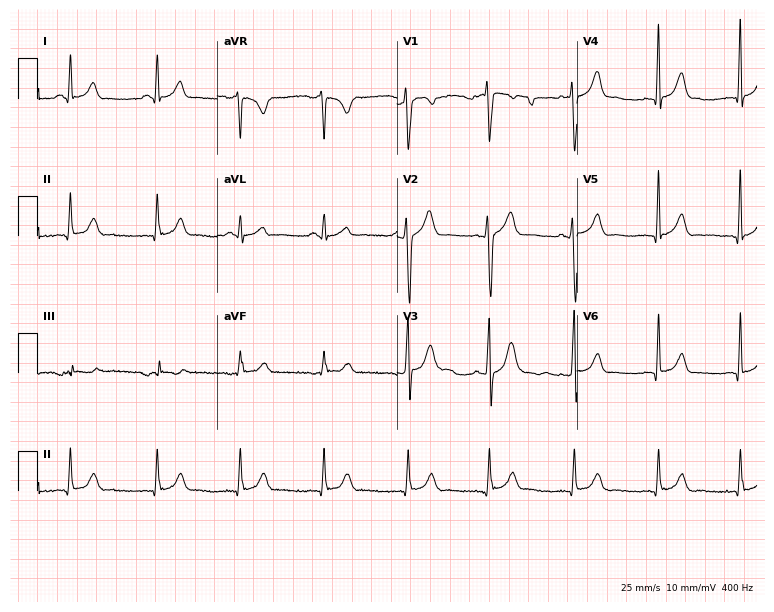
Resting 12-lead electrocardiogram. Patient: a 23-year-old male. Read as a normal ECG.